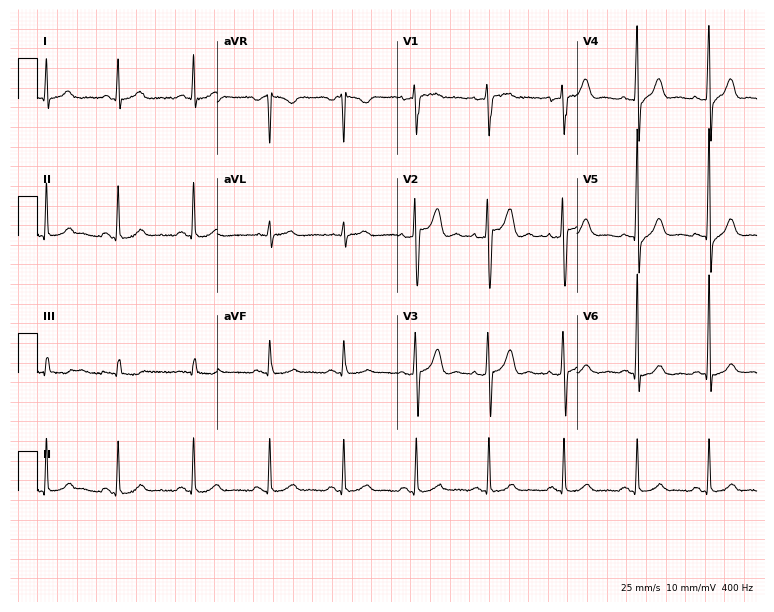
Standard 12-lead ECG recorded from a male patient, 34 years old. None of these six findings is recorded: first-degree AV block, right bundle branch block, left bundle branch block, sinus bradycardia, atrial fibrillation, sinus tachycardia.